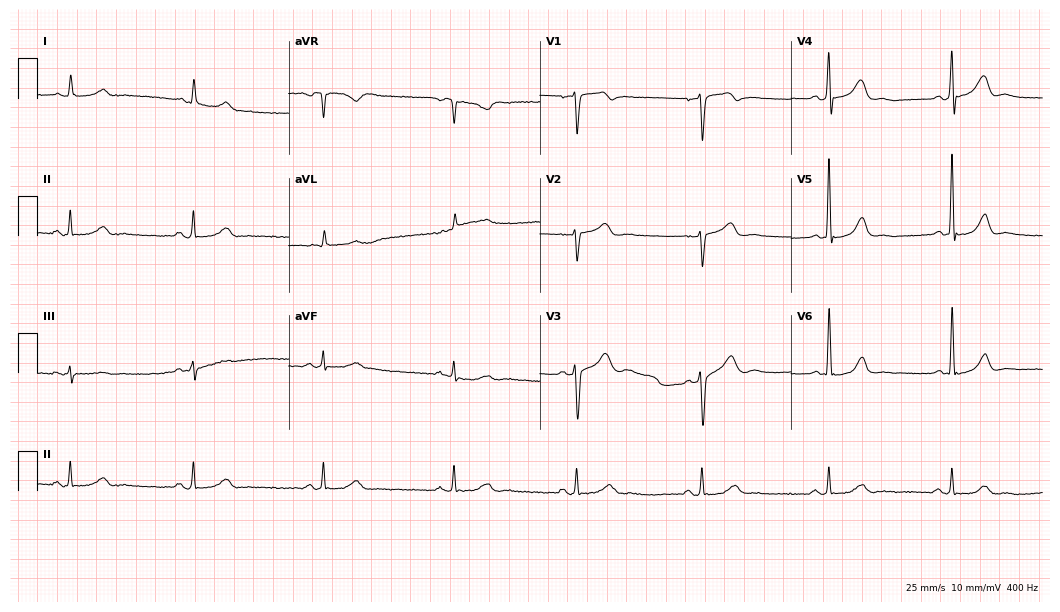
Standard 12-lead ECG recorded from a male patient, 61 years old (10.2-second recording at 400 Hz). The tracing shows sinus bradycardia (a sinus rate of 50 beats per minute or less).